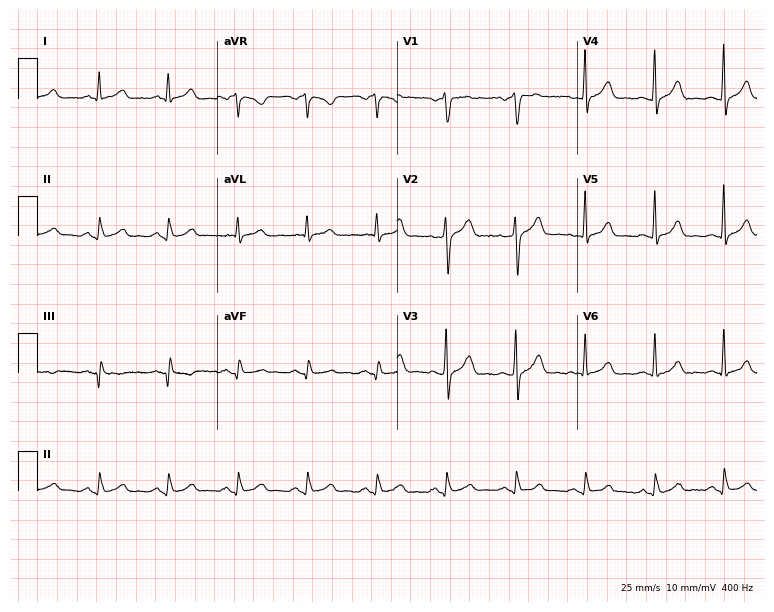
ECG — a man, 54 years old. Labelled as a normal ECG.